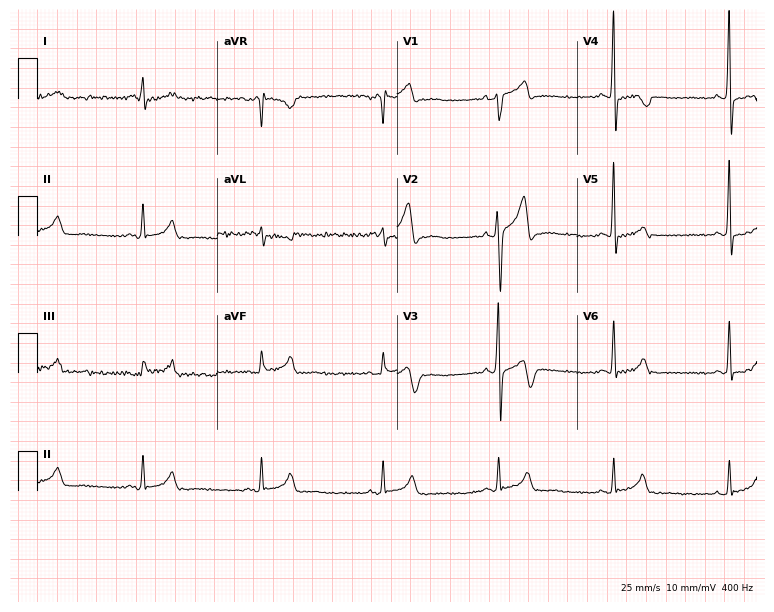
Electrocardiogram (7.3-second recording at 400 Hz), a male, 65 years old. Of the six screened findings (first-degree AV block, right bundle branch block, left bundle branch block, sinus bradycardia, atrial fibrillation, sinus tachycardia), none is recorded.